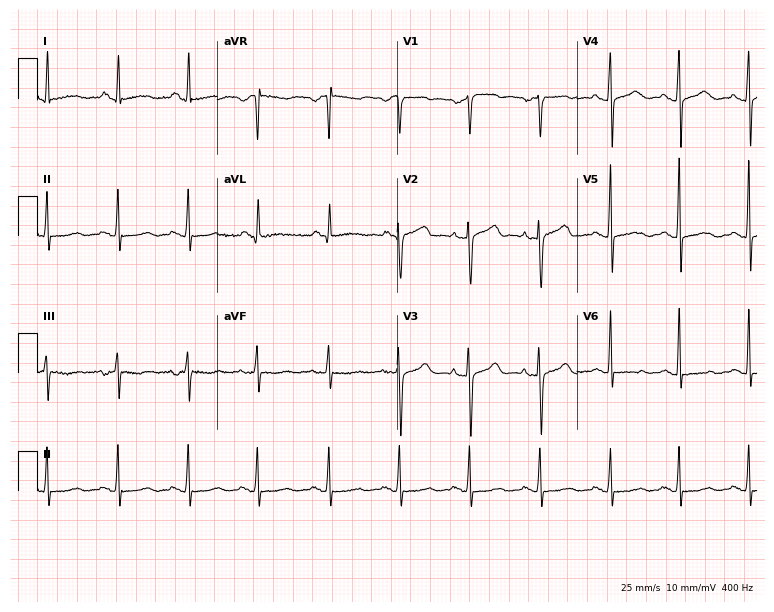
ECG — a 64-year-old woman. Screened for six findings — first-degree AV block, right bundle branch block, left bundle branch block, sinus bradycardia, atrial fibrillation, sinus tachycardia — none is recorded. Other findings, if any, are not listed.